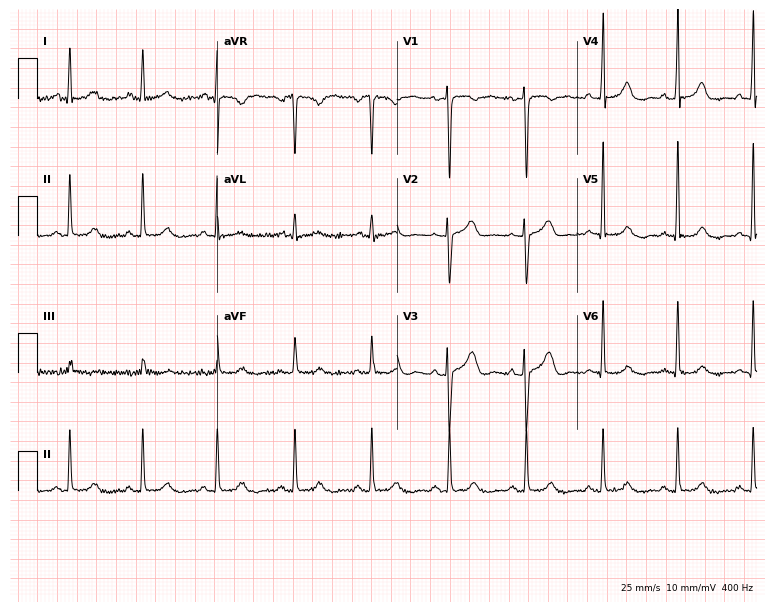
Standard 12-lead ECG recorded from a woman, 46 years old (7.3-second recording at 400 Hz). Read as a normal ECG.